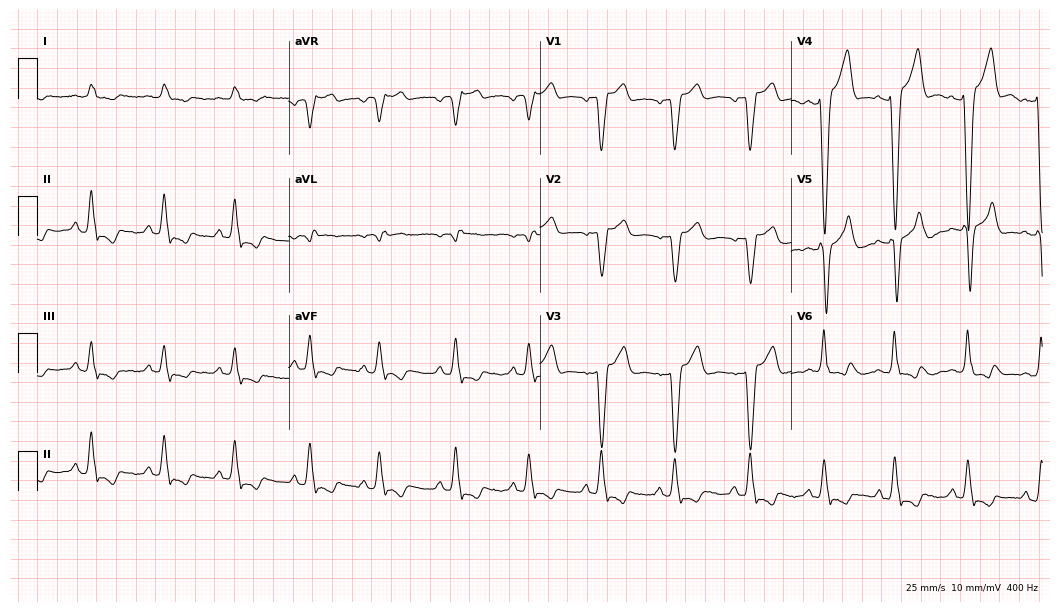
ECG — a man, 74 years old. Screened for six findings — first-degree AV block, right bundle branch block (RBBB), left bundle branch block (LBBB), sinus bradycardia, atrial fibrillation (AF), sinus tachycardia — none is recorded. Only these six findings were labelled.